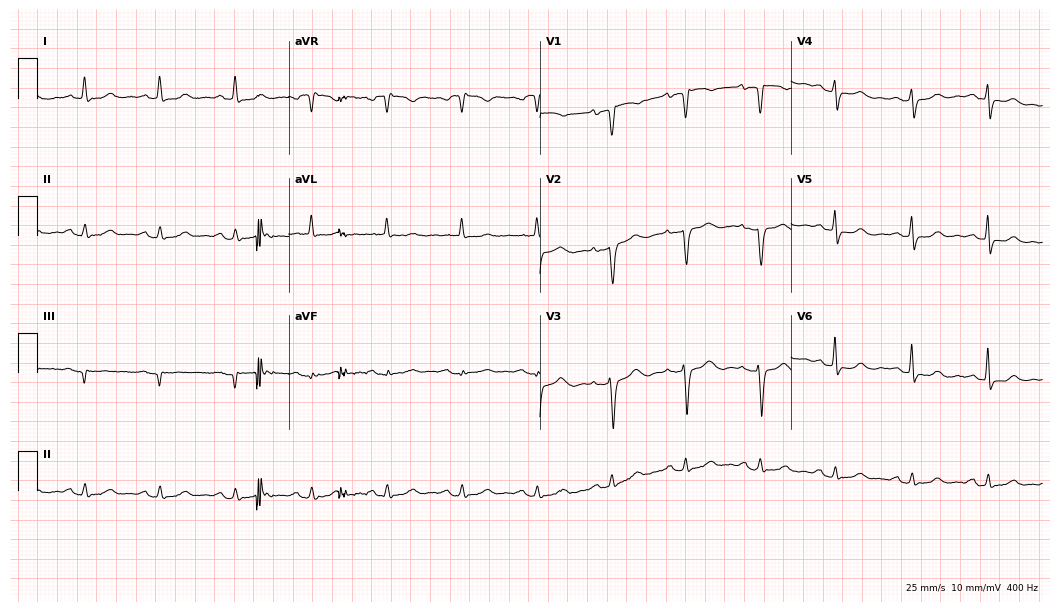
Resting 12-lead electrocardiogram (10.2-second recording at 400 Hz). Patient: a female, 67 years old. None of these six findings is recorded: first-degree AV block, right bundle branch block (RBBB), left bundle branch block (LBBB), sinus bradycardia, atrial fibrillation (AF), sinus tachycardia.